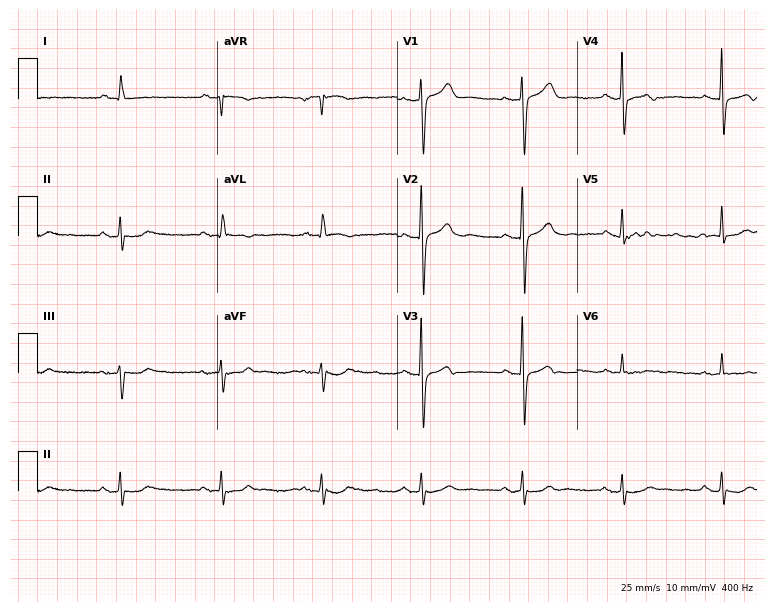
12-lead ECG from a man, 75 years old. No first-degree AV block, right bundle branch block (RBBB), left bundle branch block (LBBB), sinus bradycardia, atrial fibrillation (AF) or sinus tachycardia recorded for this tracing.